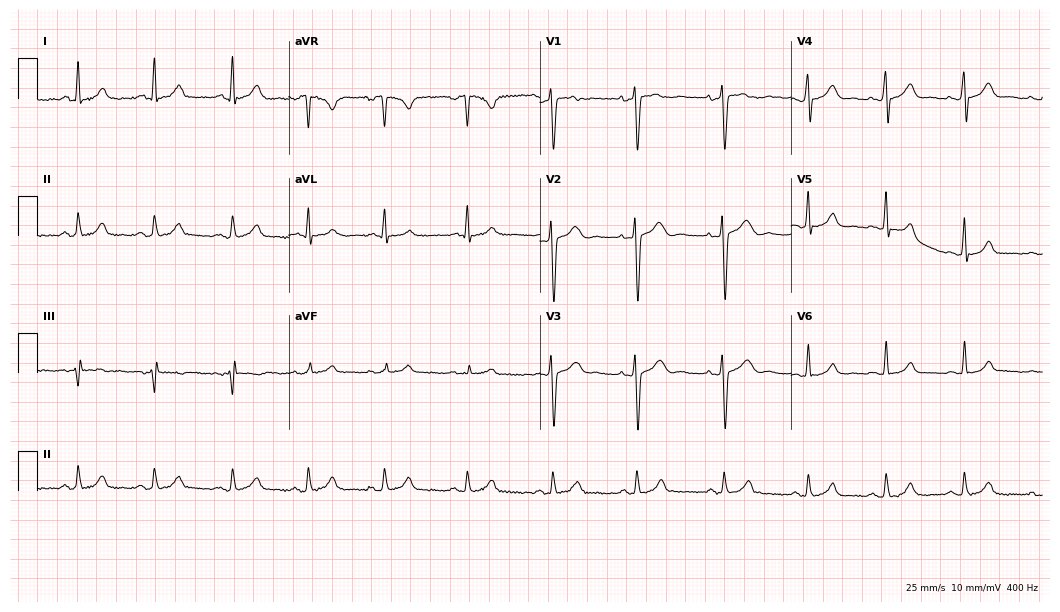
Electrocardiogram, a female, 17 years old. Overall reading on record: normal ECG.